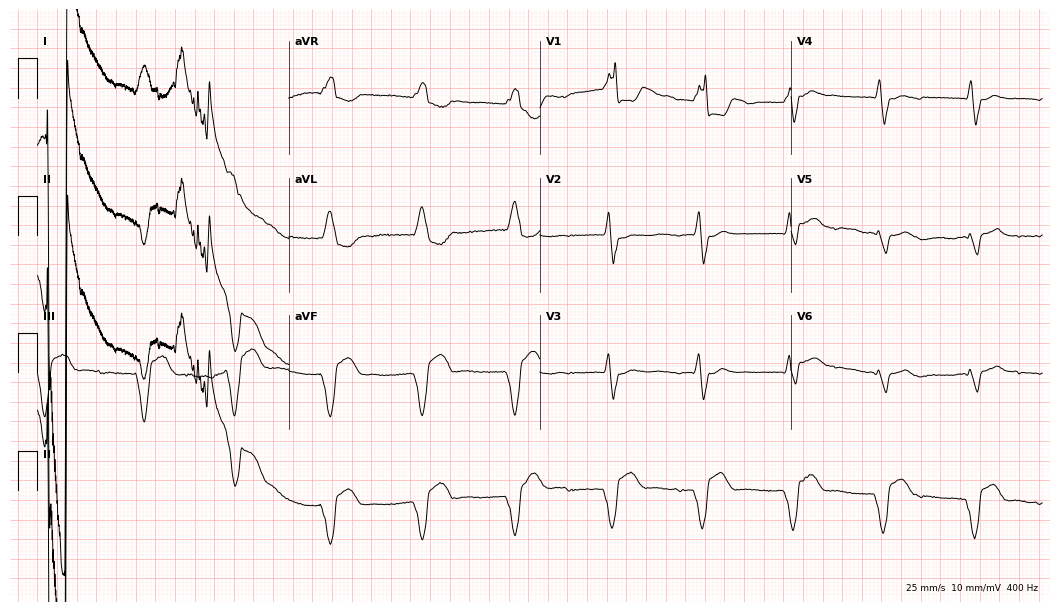
Standard 12-lead ECG recorded from an 82-year-old female. None of these six findings is recorded: first-degree AV block, right bundle branch block (RBBB), left bundle branch block (LBBB), sinus bradycardia, atrial fibrillation (AF), sinus tachycardia. Other findings, if any, are not listed.